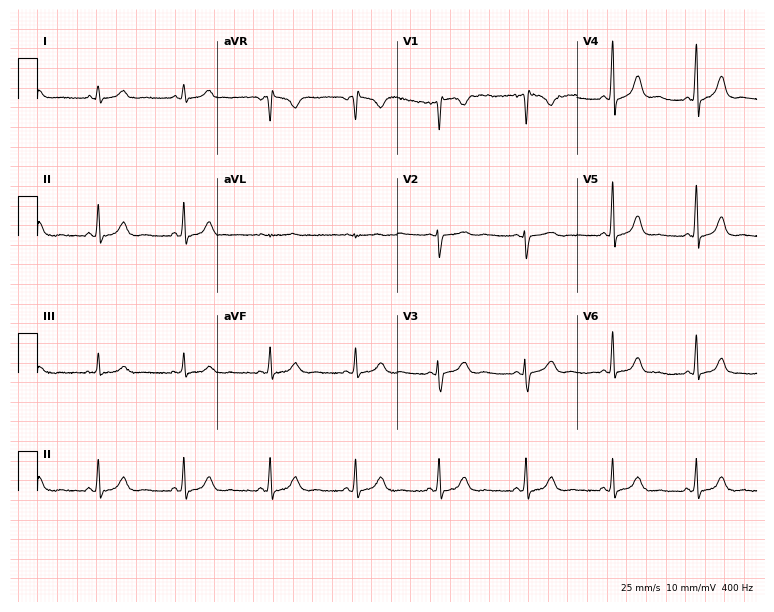
ECG — a 40-year-old female. Screened for six findings — first-degree AV block, right bundle branch block (RBBB), left bundle branch block (LBBB), sinus bradycardia, atrial fibrillation (AF), sinus tachycardia — none is recorded. Only these six findings were labelled.